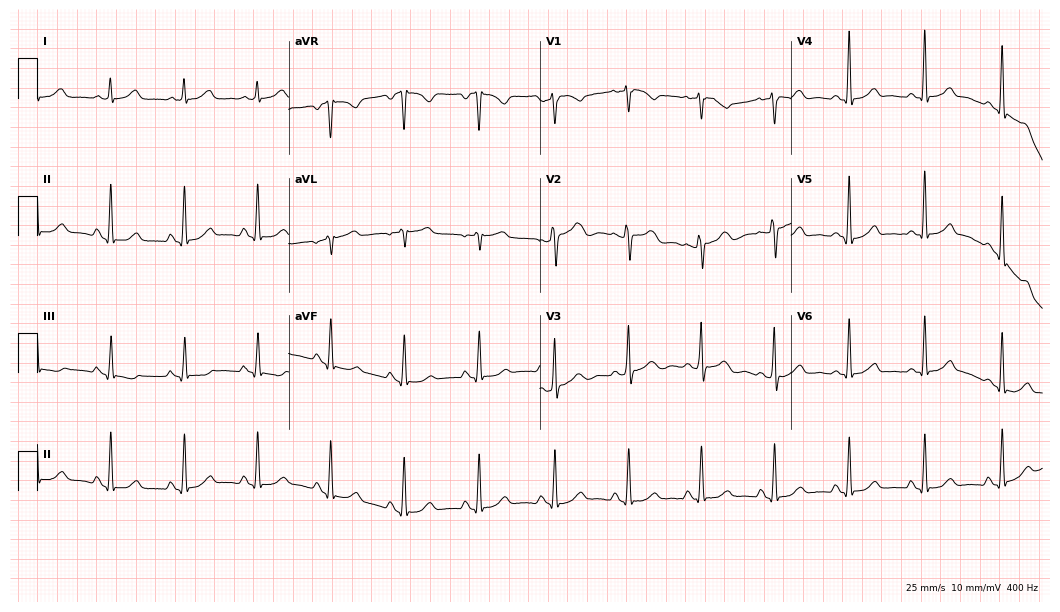
12-lead ECG from a female patient, 26 years old. Labelled as a normal ECG.